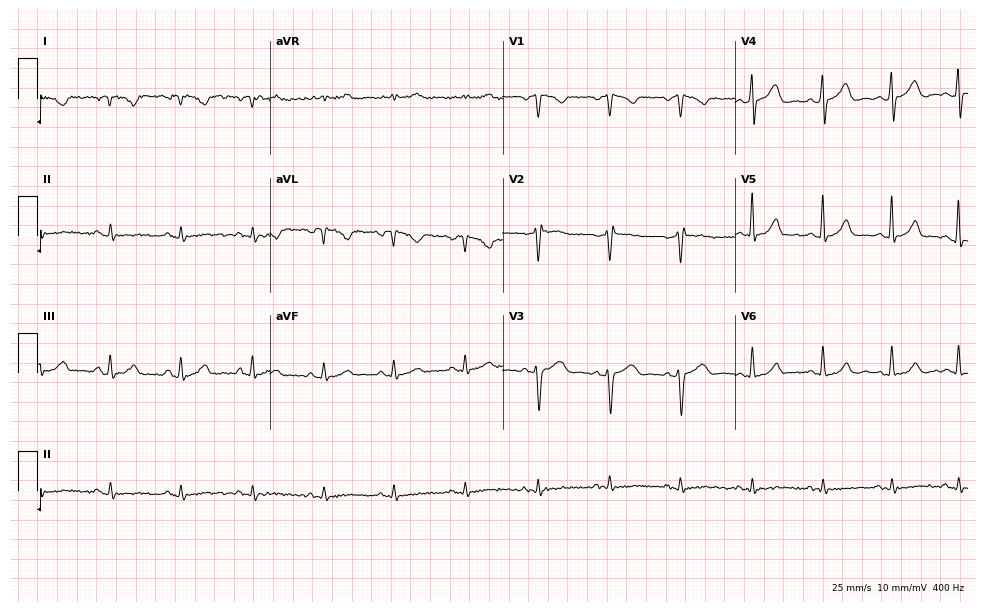
Resting 12-lead electrocardiogram (9.5-second recording at 400 Hz). Patient: a 50-year-old female. None of these six findings is recorded: first-degree AV block, right bundle branch block, left bundle branch block, sinus bradycardia, atrial fibrillation, sinus tachycardia.